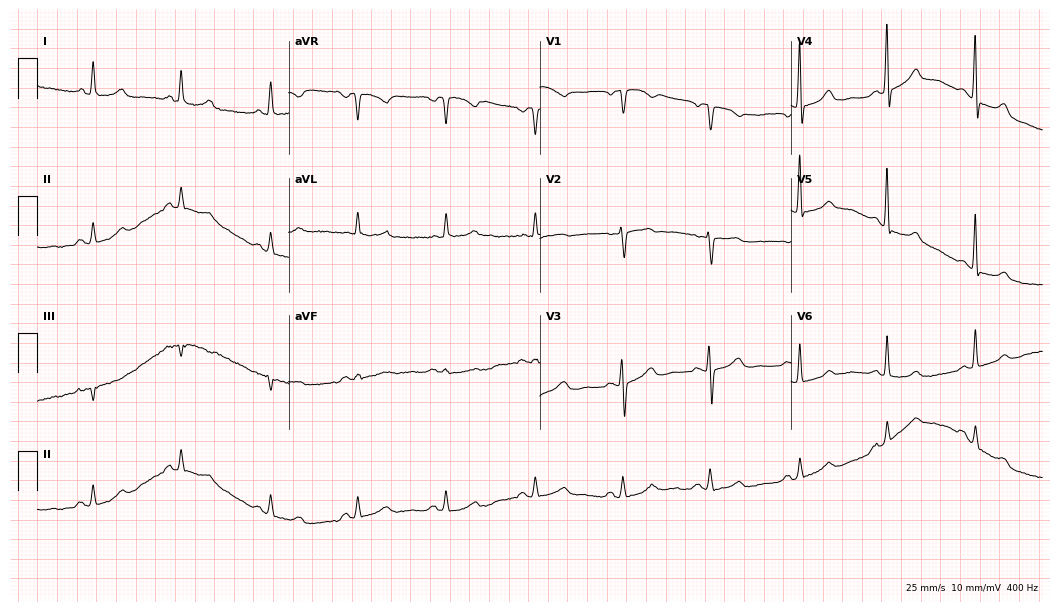
Electrocardiogram, a 75-year-old woman. Of the six screened findings (first-degree AV block, right bundle branch block, left bundle branch block, sinus bradycardia, atrial fibrillation, sinus tachycardia), none is recorded. Findings outside these six are not listed.